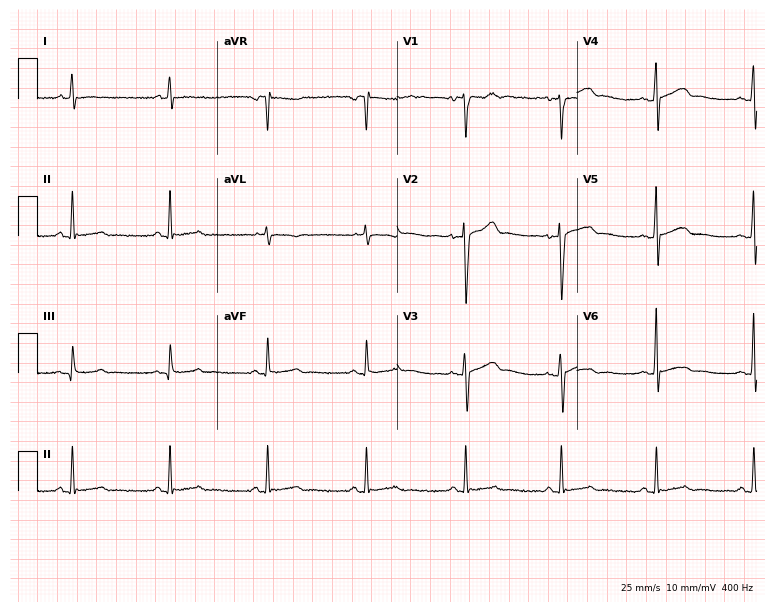
Resting 12-lead electrocardiogram (7.3-second recording at 400 Hz). Patient: a male, 35 years old. None of these six findings is recorded: first-degree AV block, right bundle branch block, left bundle branch block, sinus bradycardia, atrial fibrillation, sinus tachycardia.